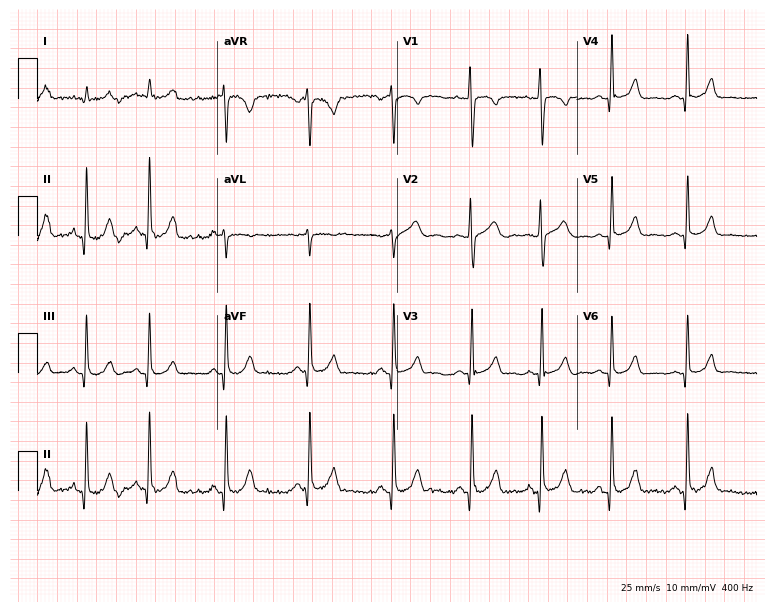
ECG (7.3-second recording at 400 Hz) — a female, 25 years old. Labelled as a normal ECG.